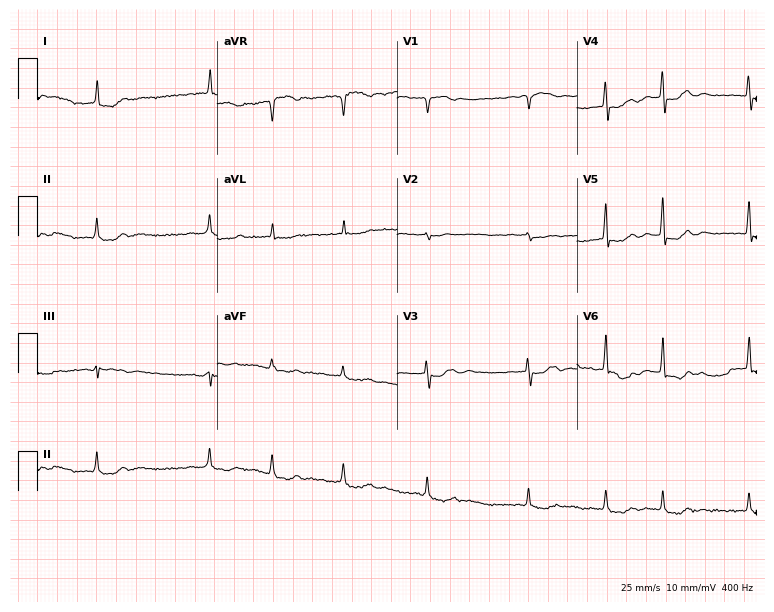
12-lead ECG from a 79-year-old female. Screened for six findings — first-degree AV block, right bundle branch block, left bundle branch block, sinus bradycardia, atrial fibrillation, sinus tachycardia — none is recorded. Only these six findings were labelled.